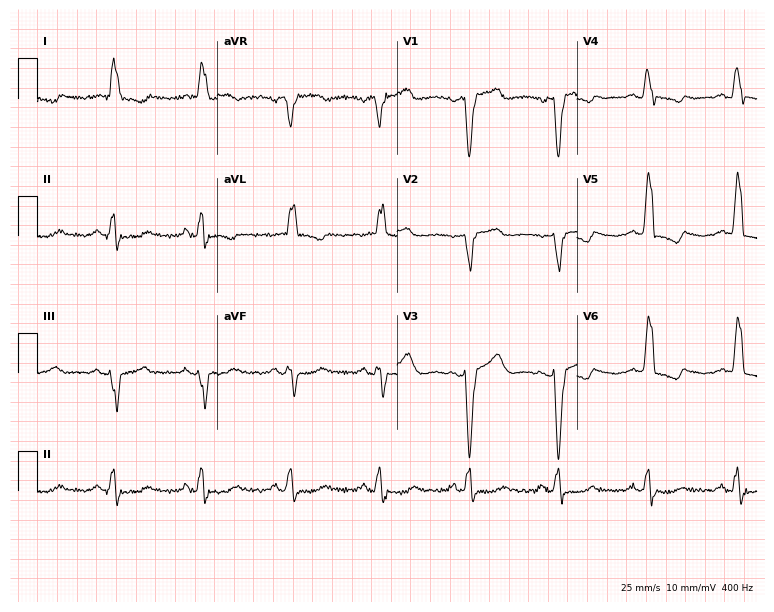
Electrocardiogram (7.3-second recording at 400 Hz), an 81-year-old female patient. Interpretation includes left bundle branch block (LBBB).